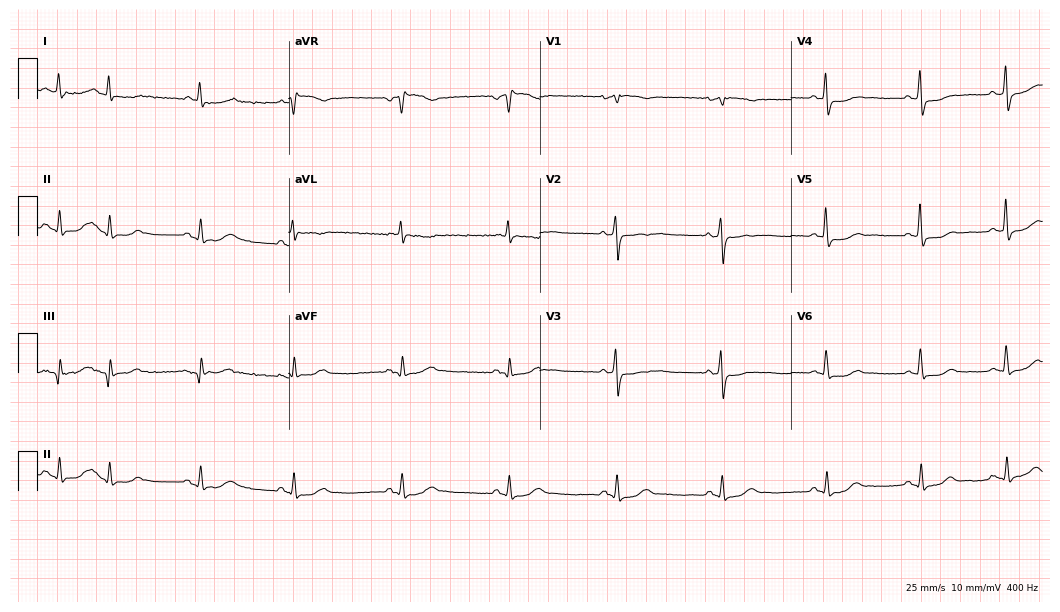
Resting 12-lead electrocardiogram. Patient: a female, 66 years old. None of these six findings is recorded: first-degree AV block, right bundle branch block, left bundle branch block, sinus bradycardia, atrial fibrillation, sinus tachycardia.